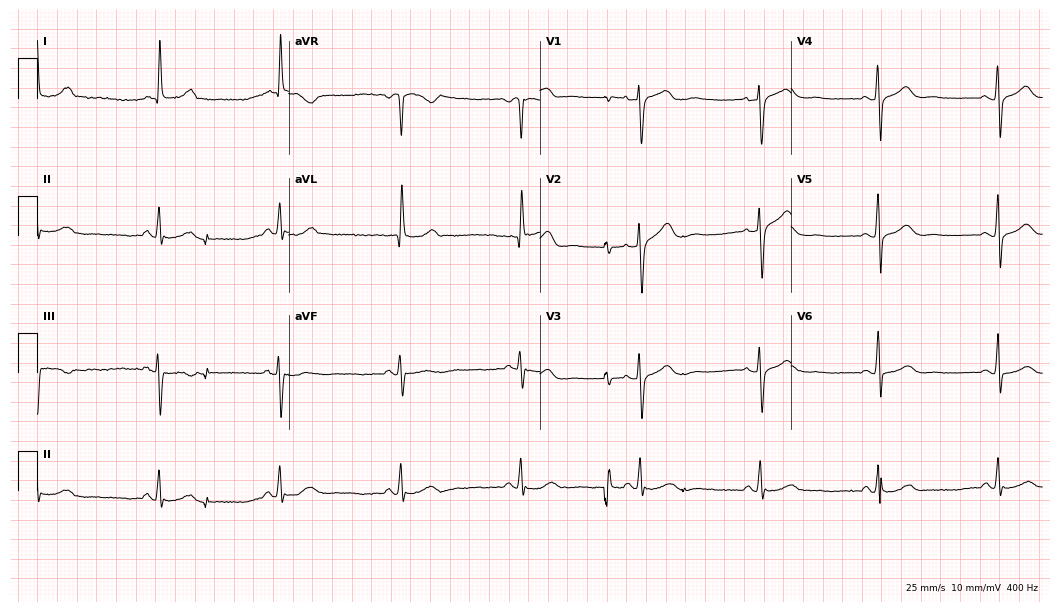
12-lead ECG from a female, 62 years old (10.2-second recording at 400 Hz). Shows sinus bradycardia (a sinus rate of 50 beats per minute or less).